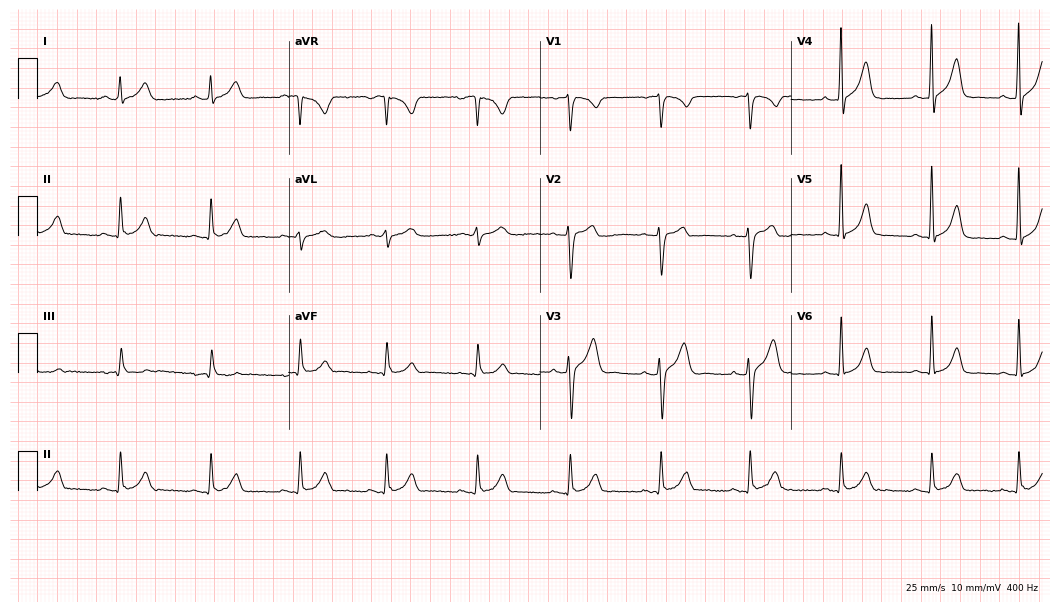
Standard 12-lead ECG recorded from a man, 61 years old (10.2-second recording at 400 Hz). Read as a normal ECG.